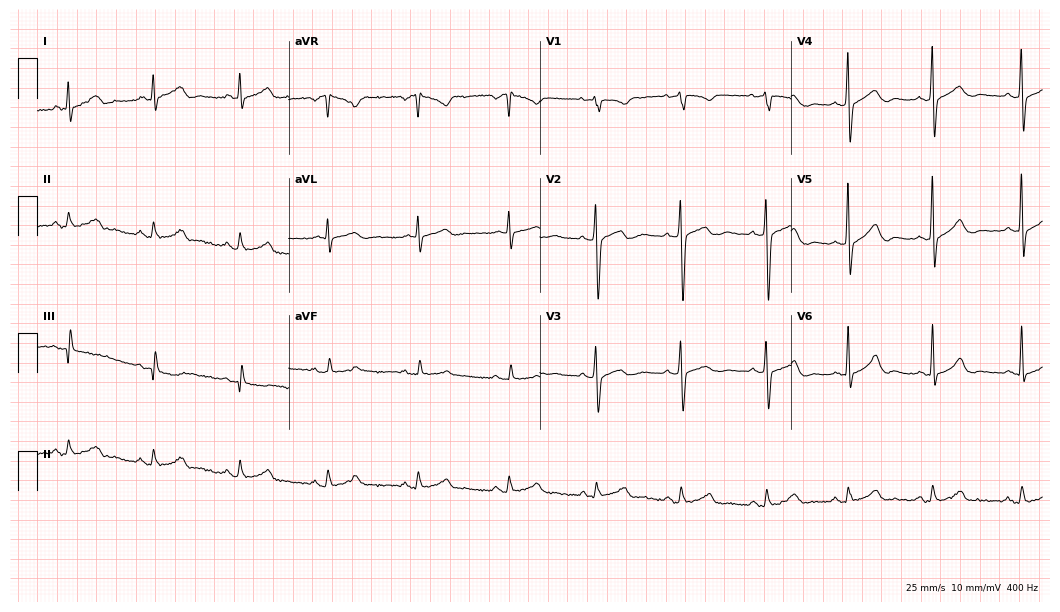
Electrocardiogram, a 44-year-old female. Overall reading on record: normal ECG.